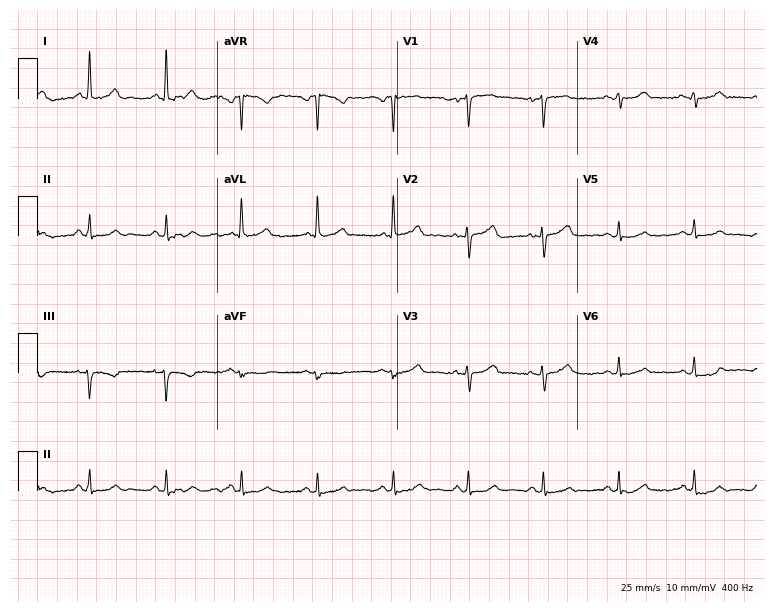
Resting 12-lead electrocardiogram (7.3-second recording at 400 Hz). Patient: a female, 58 years old. None of these six findings is recorded: first-degree AV block, right bundle branch block, left bundle branch block, sinus bradycardia, atrial fibrillation, sinus tachycardia.